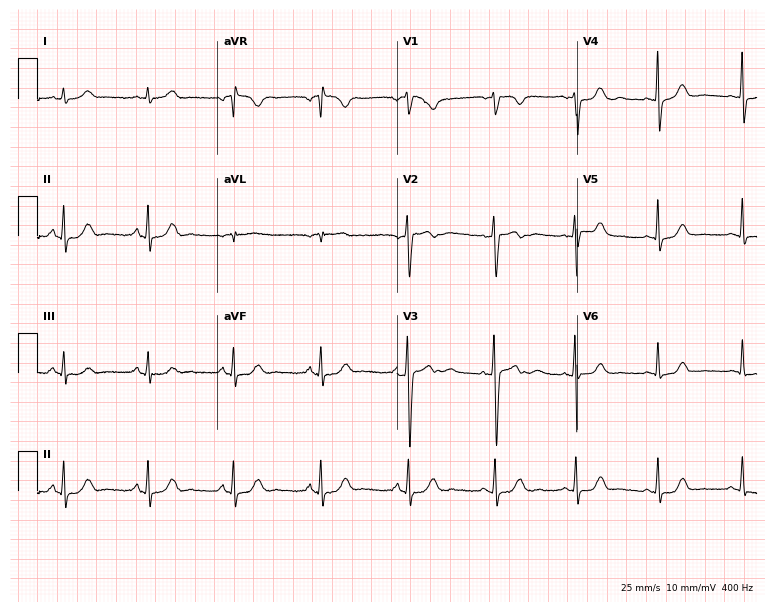
ECG (7.3-second recording at 400 Hz) — a female, 47 years old. Labelled as a normal ECG.